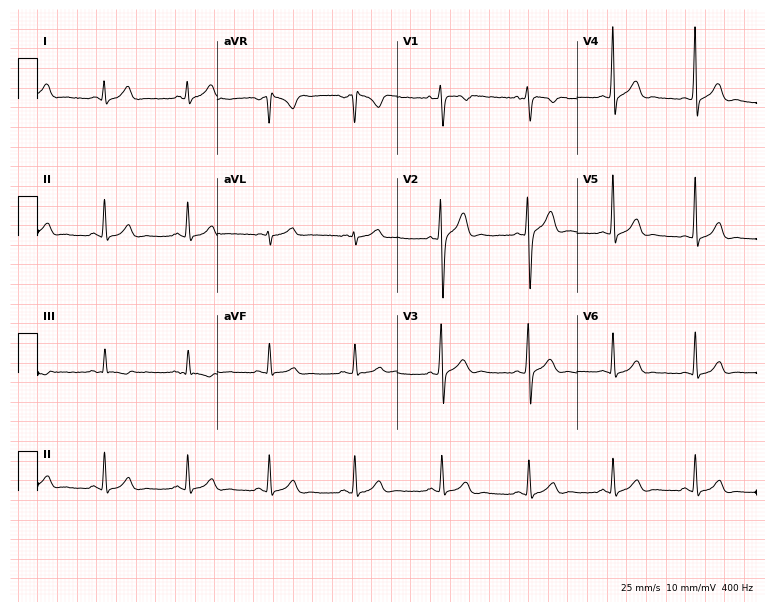
Standard 12-lead ECG recorded from a man, 30 years old. None of these six findings is recorded: first-degree AV block, right bundle branch block, left bundle branch block, sinus bradycardia, atrial fibrillation, sinus tachycardia. Only these six findings were labelled.